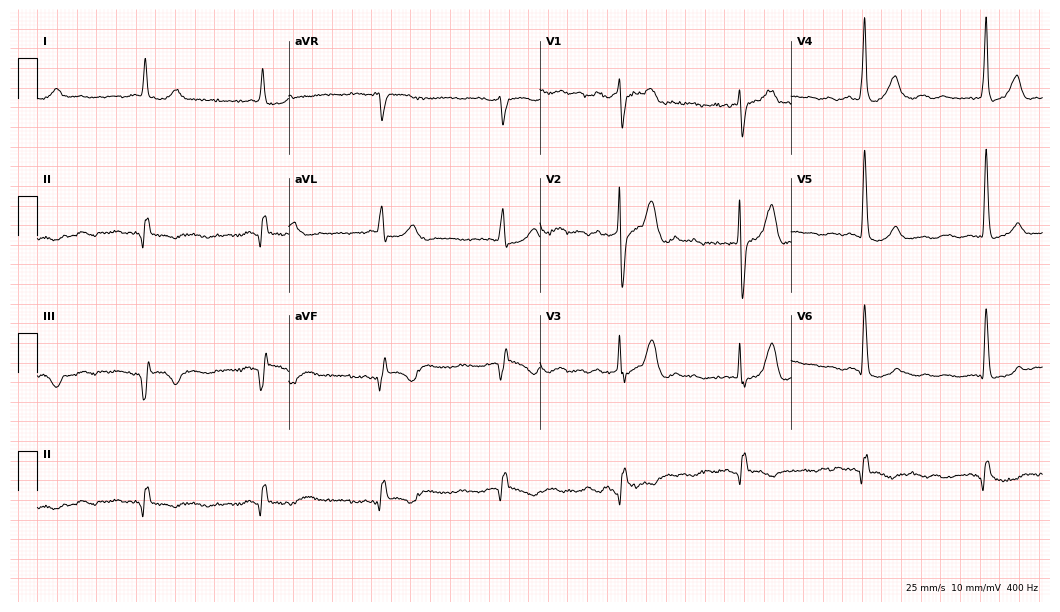
Standard 12-lead ECG recorded from a 79-year-old man. None of these six findings is recorded: first-degree AV block, right bundle branch block, left bundle branch block, sinus bradycardia, atrial fibrillation, sinus tachycardia. Only these six findings were labelled.